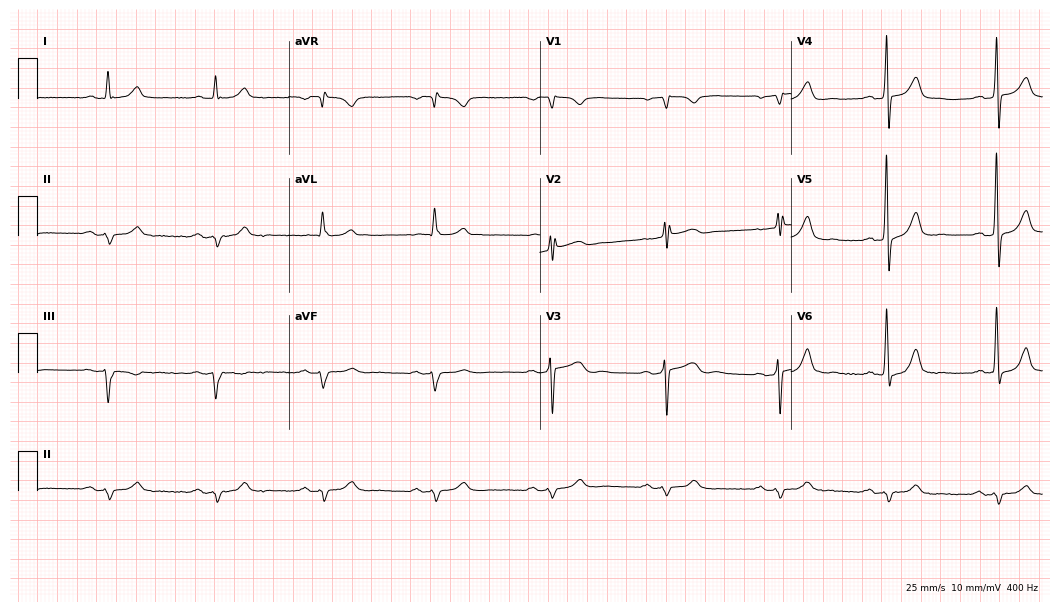
12-lead ECG (10.2-second recording at 400 Hz) from a 59-year-old male patient. Screened for six findings — first-degree AV block, right bundle branch block, left bundle branch block, sinus bradycardia, atrial fibrillation, sinus tachycardia — none is recorded. Only these six findings were labelled.